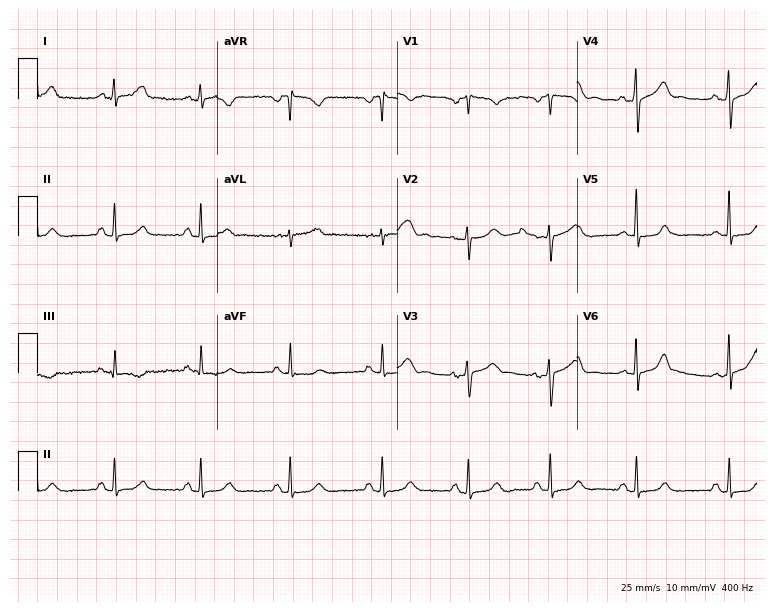
12-lead ECG from a female patient, 24 years old. Labelled as a normal ECG.